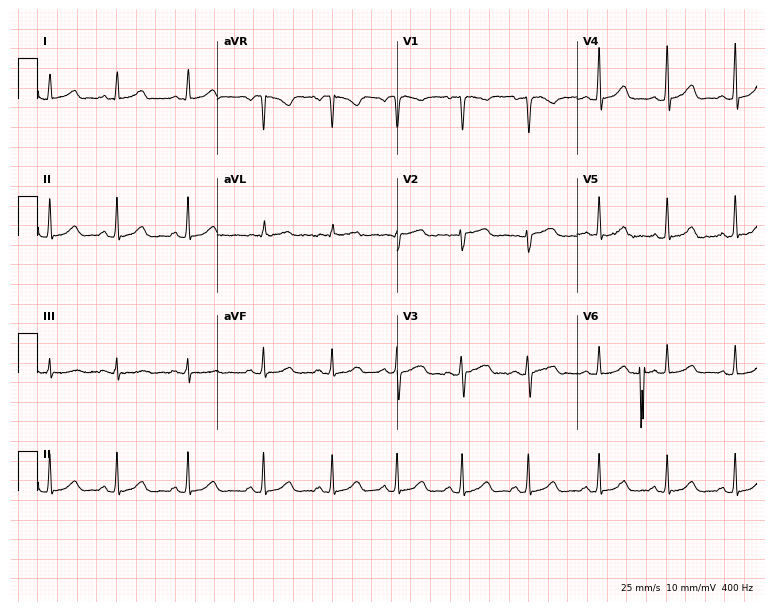
Resting 12-lead electrocardiogram (7.3-second recording at 400 Hz). Patient: a female, 34 years old. Read as a normal ECG.